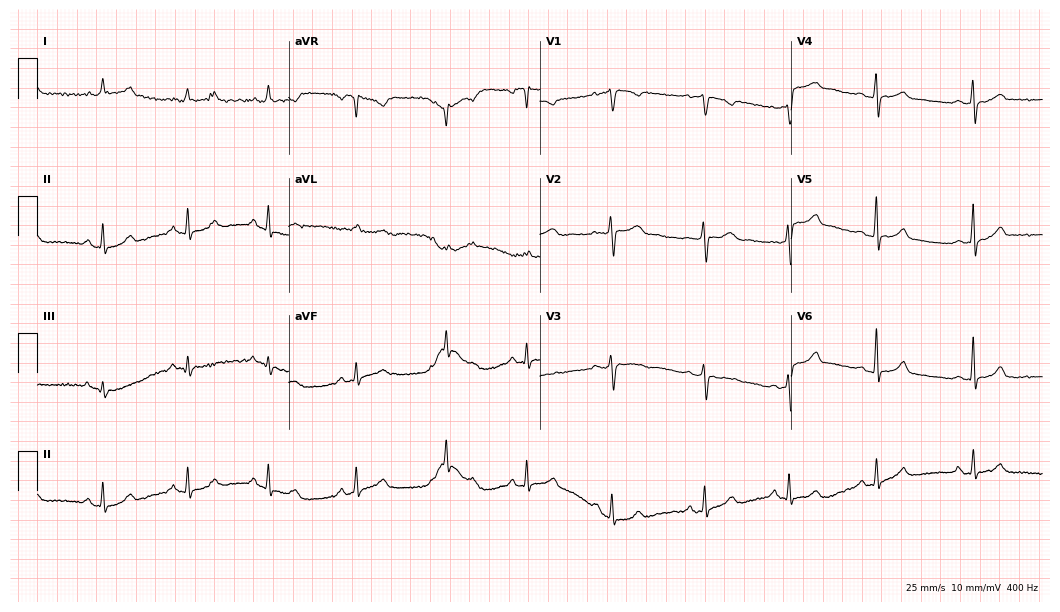
ECG — a 36-year-old woman. Labelled as a normal ECG.